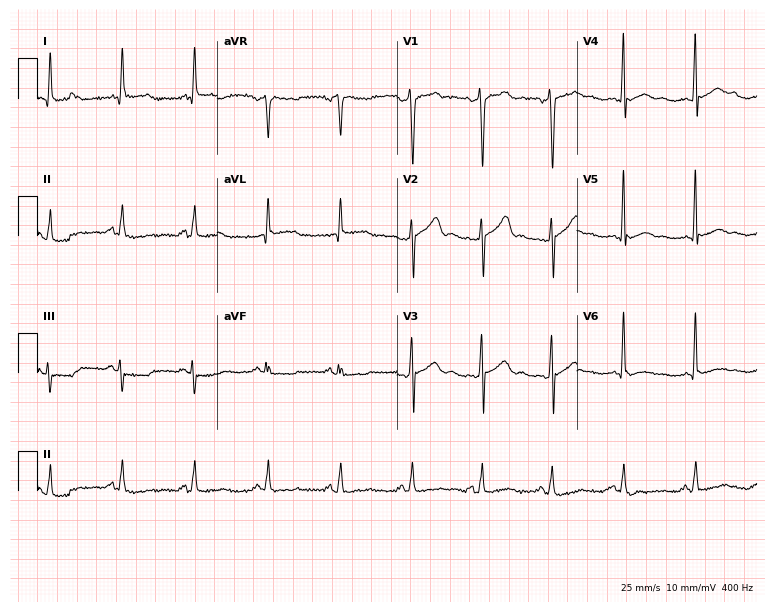
12-lead ECG (7.3-second recording at 400 Hz) from a 44-year-old woman. Screened for six findings — first-degree AV block, right bundle branch block, left bundle branch block, sinus bradycardia, atrial fibrillation, sinus tachycardia — none is recorded.